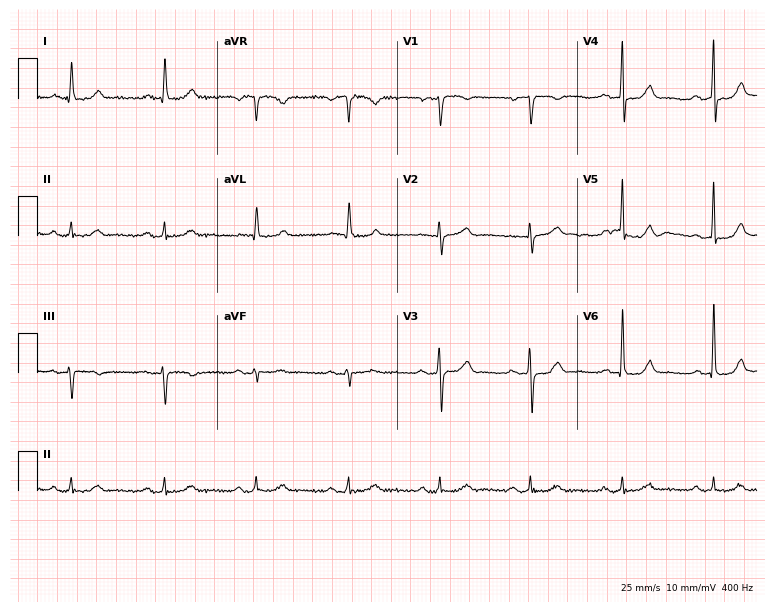
ECG (7.3-second recording at 400 Hz) — a 67-year-old male. Screened for six findings — first-degree AV block, right bundle branch block (RBBB), left bundle branch block (LBBB), sinus bradycardia, atrial fibrillation (AF), sinus tachycardia — none is recorded.